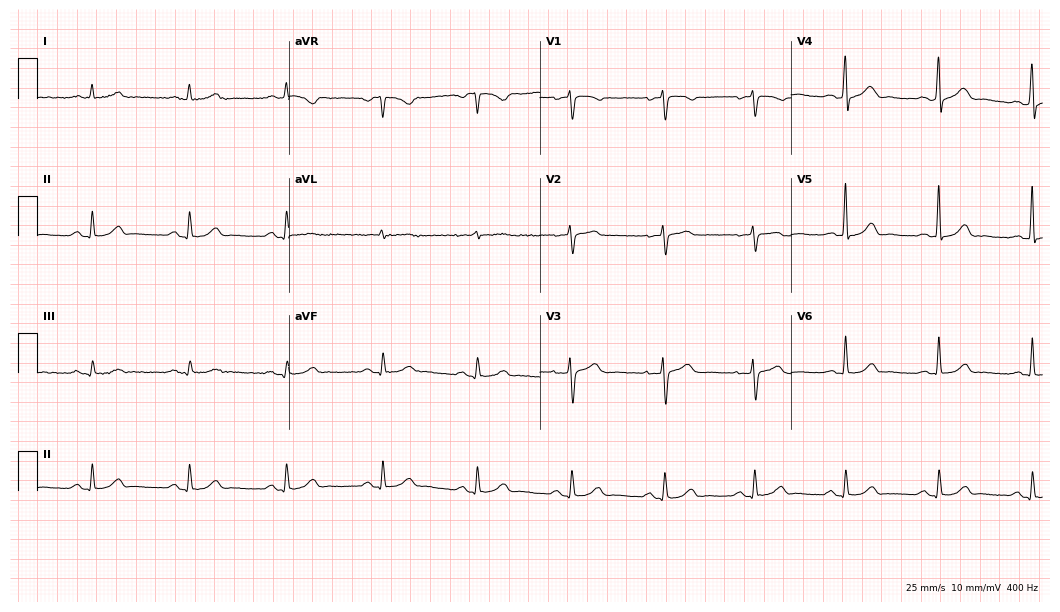
12-lead ECG from a 57-year-old female patient. Recorded interpretation: within normal limits.